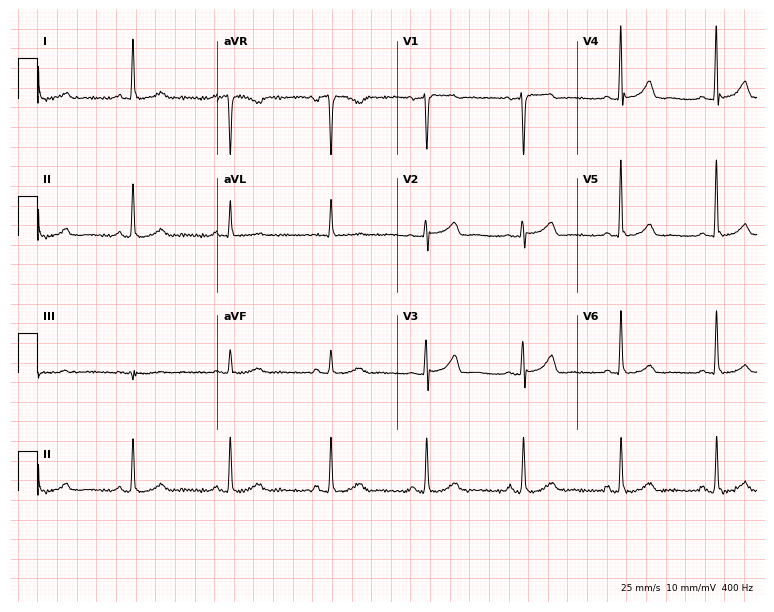
Standard 12-lead ECG recorded from a female, 53 years old (7.3-second recording at 400 Hz). None of these six findings is recorded: first-degree AV block, right bundle branch block, left bundle branch block, sinus bradycardia, atrial fibrillation, sinus tachycardia.